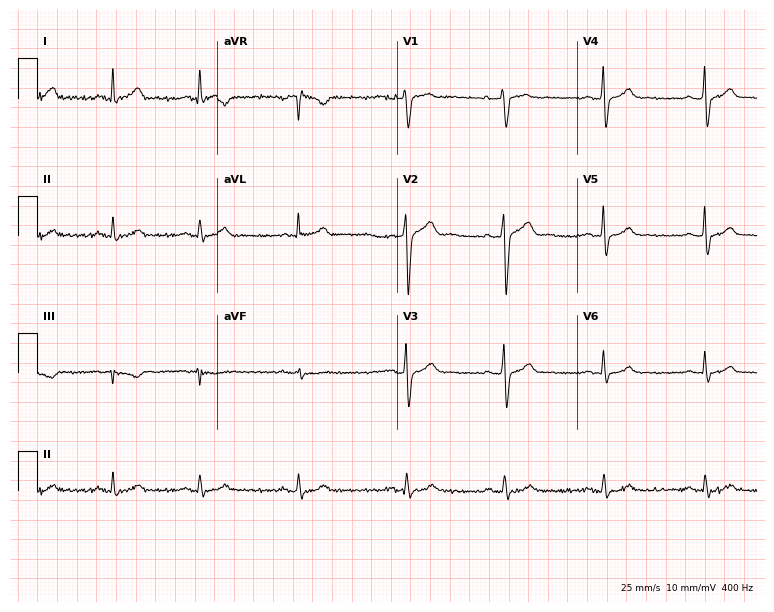
12-lead ECG from a man, 36 years old. Screened for six findings — first-degree AV block, right bundle branch block (RBBB), left bundle branch block (LBBB), sinus bradycardia, atrial fibrillation (AF), sinus tachycardia — none is recorded.